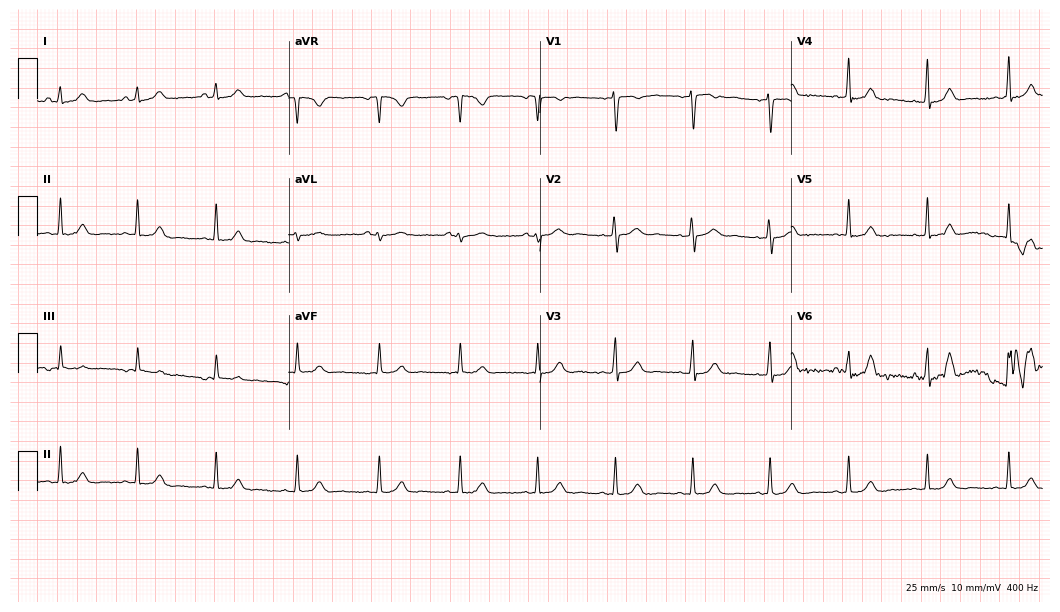
Resting 12-lead electrocardiogram. Patient: a 26-year-old woman. Read as a normal ECG.